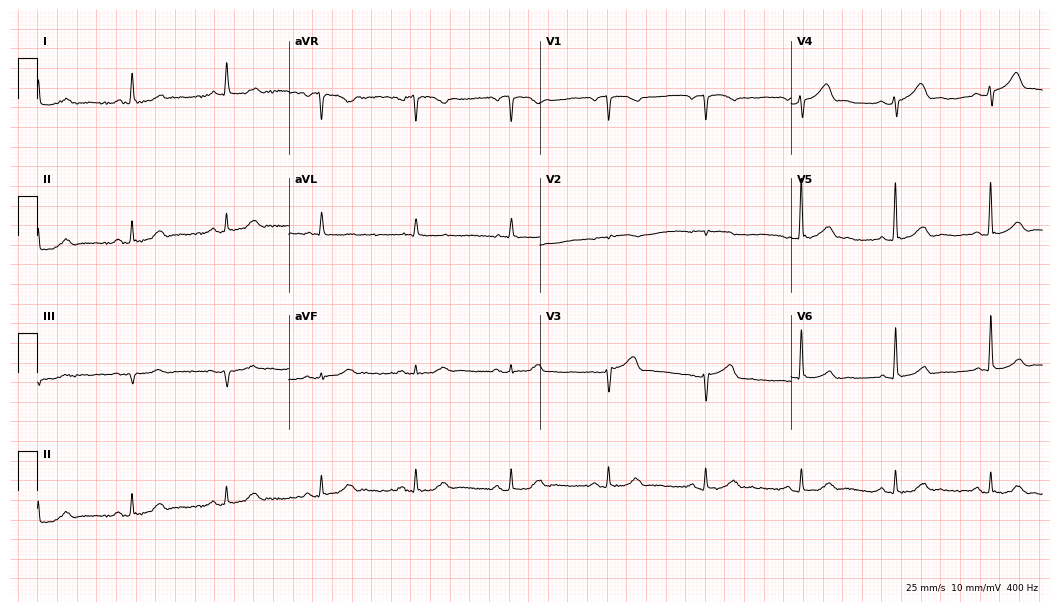
12-lead ECG (10.2-second recording at 400 Hz) from a male patient, 78 years old. Screened for six findings — first-degree AV block, right bundle branch block, left bundle branch block, sinus bradycardia, atrial fibrillation, sinus tachycardia — none is recorded. Other findings, if any, are not listed.